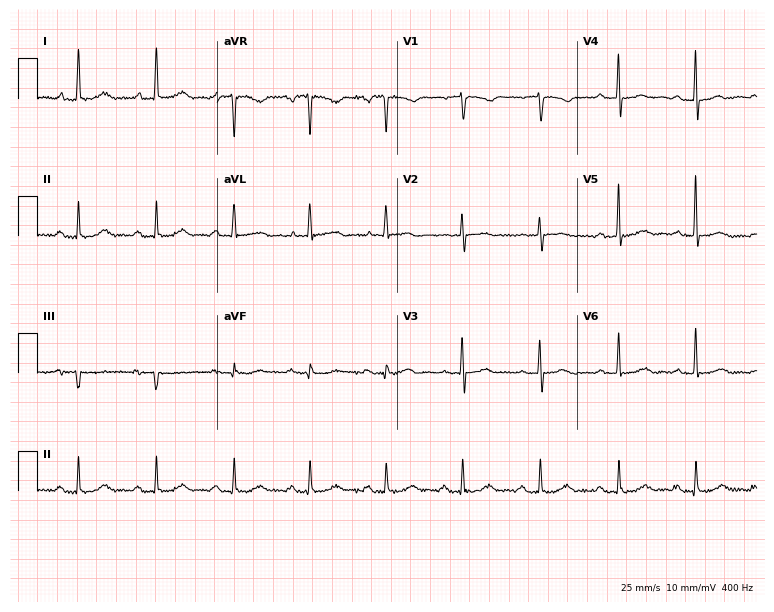
12-lead ECG from a female, 64 years old. Screened for six findings — first-degree AV block, right bundle branch block, left bundle branch block, sinus bradycardia, atrial fibrillation, sinus tachycardia — none is recorded. Other findings, if any, are not listed.